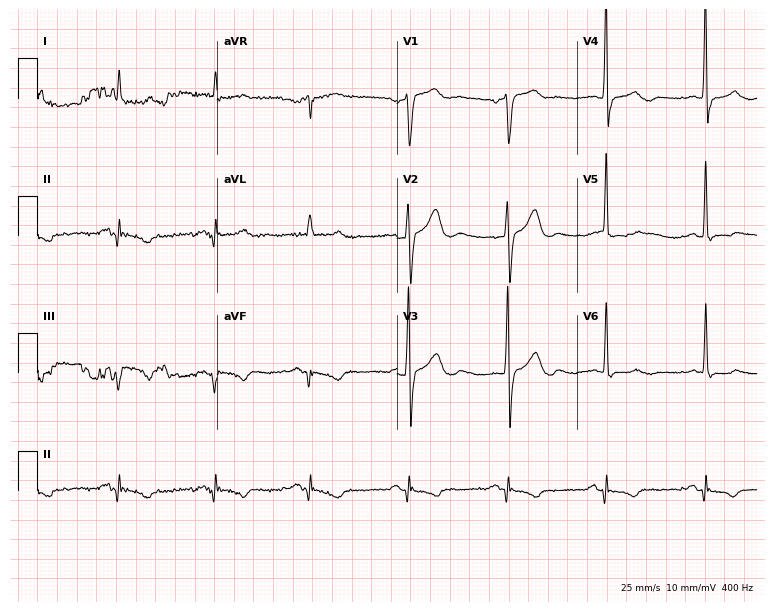
Standard 12-lead ECG recorded from a 62-year-old man. None of these six findings is recorded: first-degree AV block, right bundle branch block, left bundle branch block, sinus bradycardia, atrial fibrillation, sinus tachycardia. Other findings, if any, are not listed.